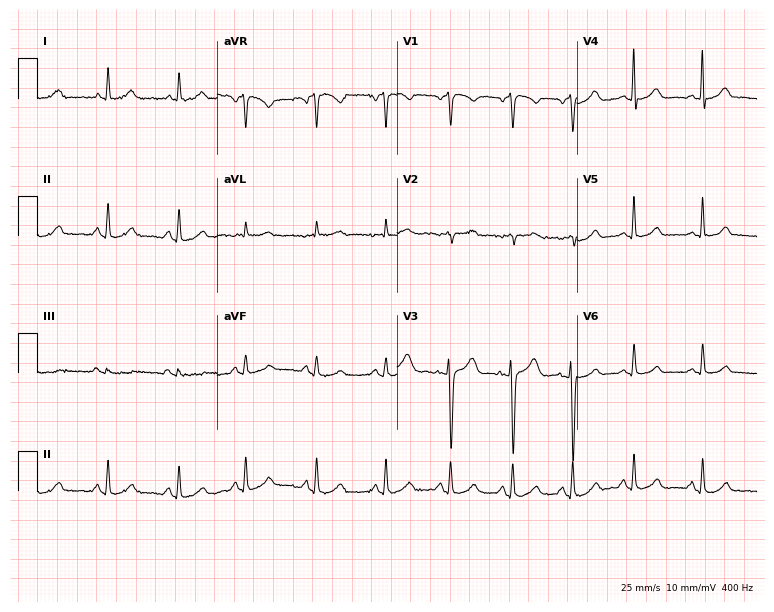
Resting 12-lead electrocardiogram. Patient: a 42-year-old female. Read as a normal ECG.